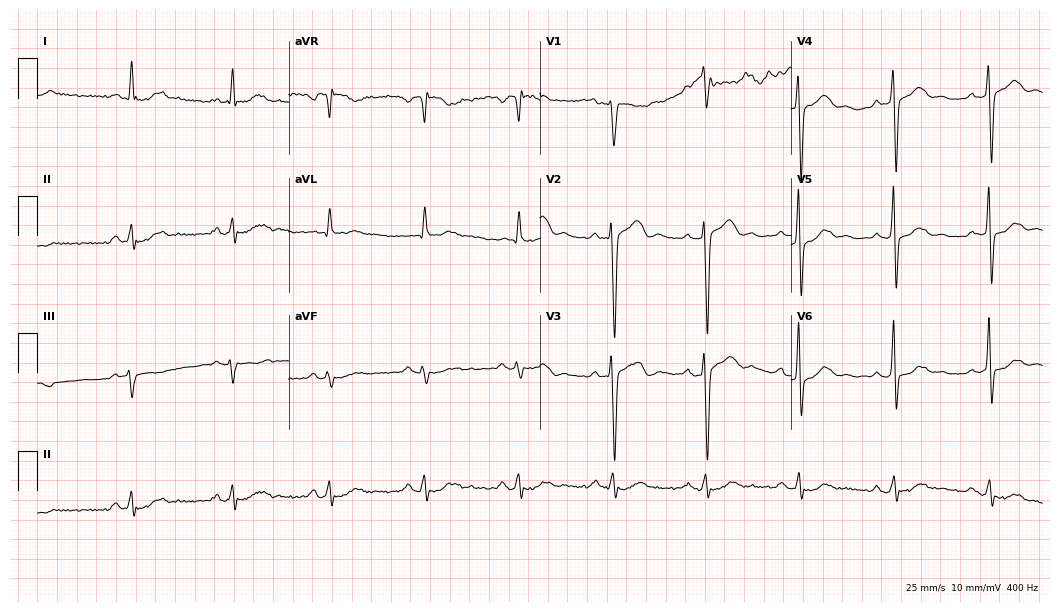
ECG — a 41-year-old man. Screened for six findings — first-degree AV block, right bundle branch block, left bundle branch block, sinus bradycardia, atrial fibrillation, sinus tachycardia — none is recorded. Other findings, if any, are not listed.